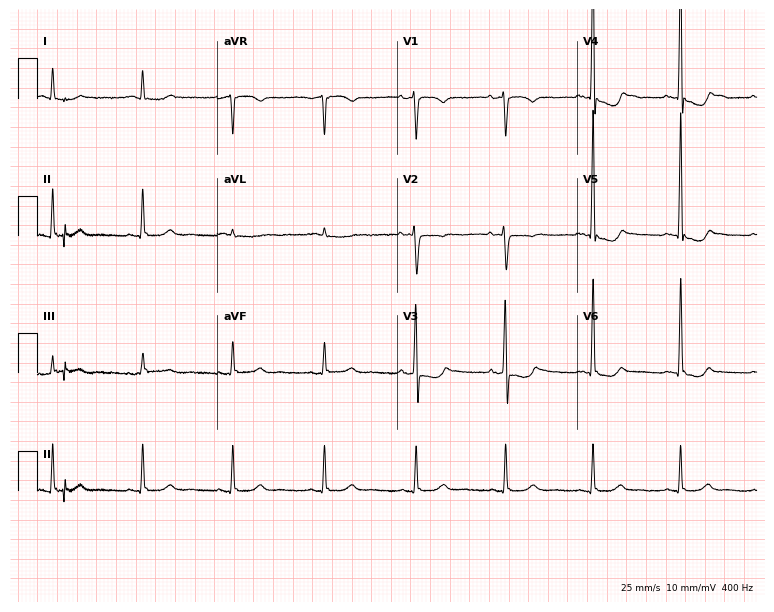
Resting 12-lead electrocardiogram. Patient: a 48-year-old male. None of these six findings is recorded: first-degree AV block, right bundle branch block (RBBB), left bundle branch block (LBBB), sinus bradycardia, atrial fibrillation (AF), sinus tachycardia.